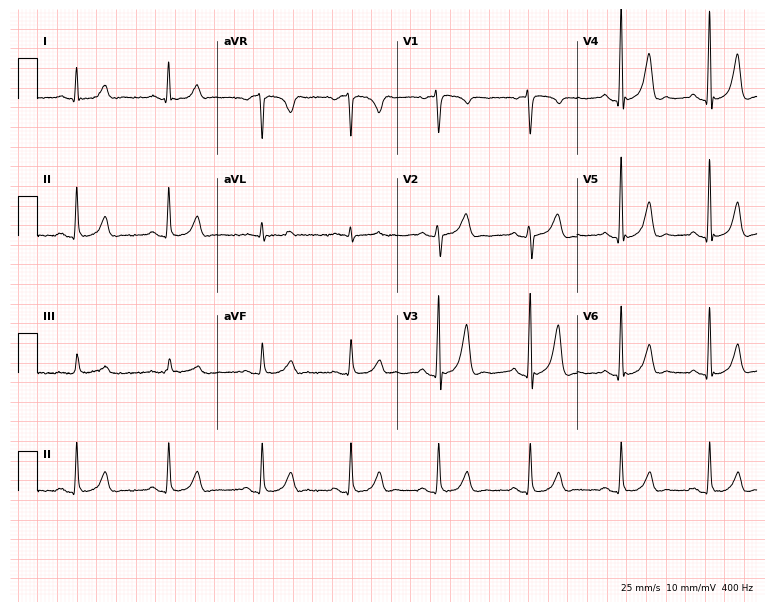
Resting 12-lead electrocardiogram. Patient: a 51-year-old male. Read as a normal ECG.